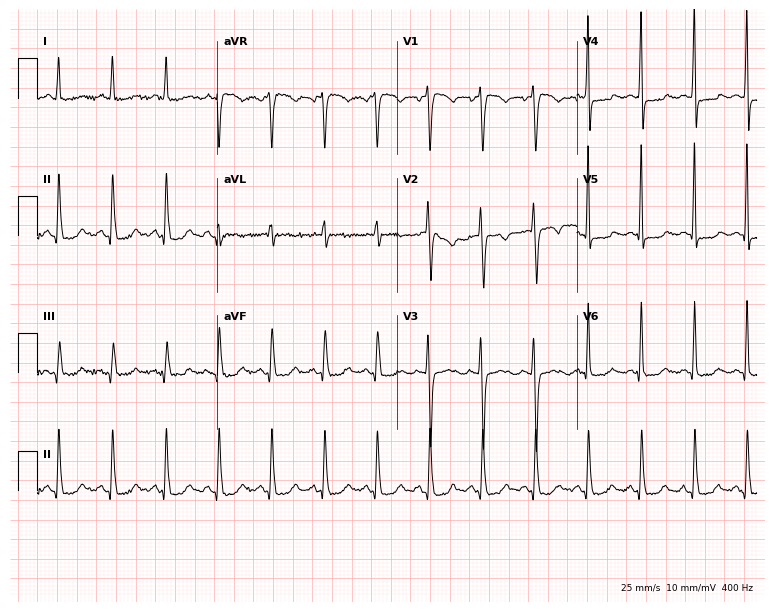
Resting 12-lead electrocardiogram (7.3-second recording at 400 Hz). Patient: a 22-year-old man. None of these six findings is recorded: first-degree AV block, right bundle branch block, left bundle branch block, sinus bradycardia, atrial fibrillation, sinus tachycardia. Only these six findings were labelled.